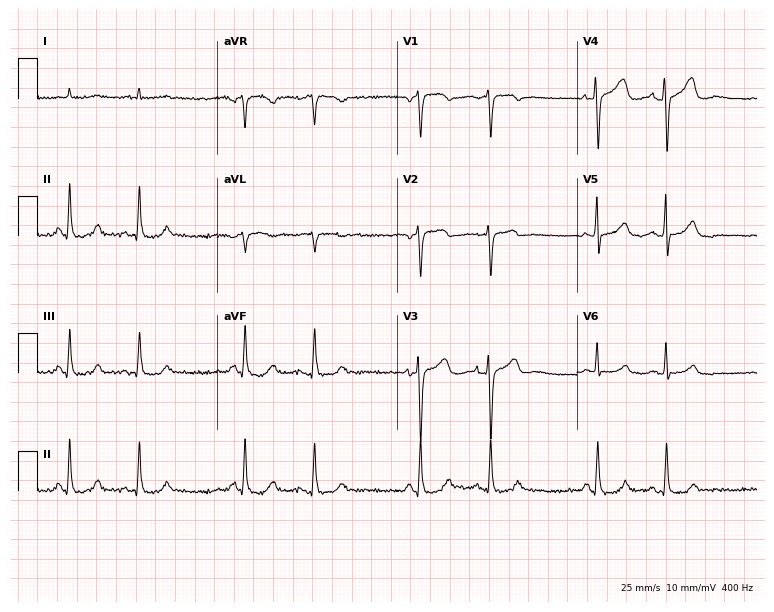
12-lead ECG from a male, 84 years old (7.3-second recording at 400 Hz). No first-degree AV block, right bundle branch block, left bundle branch block, sinus bradycardia, atrial fibrillation or sinus tachycardia recorded for this tracing. Other findings, if any, are not listed.